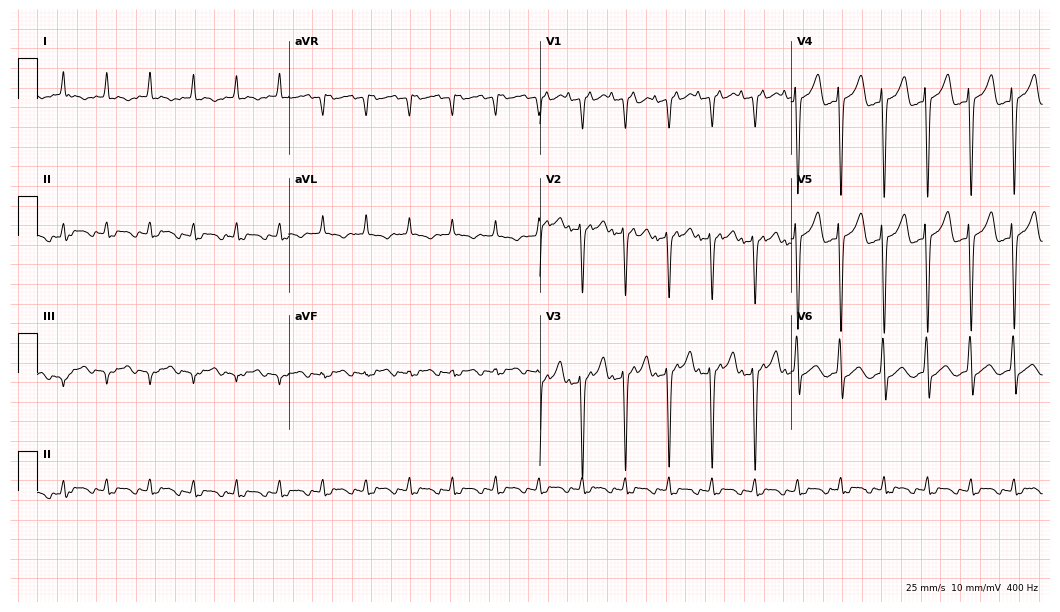
12-lead ECG from an 80-year-old male patient. Screened for six findings — first-degree AV block, right bundle branch block, left bundle branch block, sinus bradycardia, atrial fibrillation, sinus tachycardia — none is recorded.